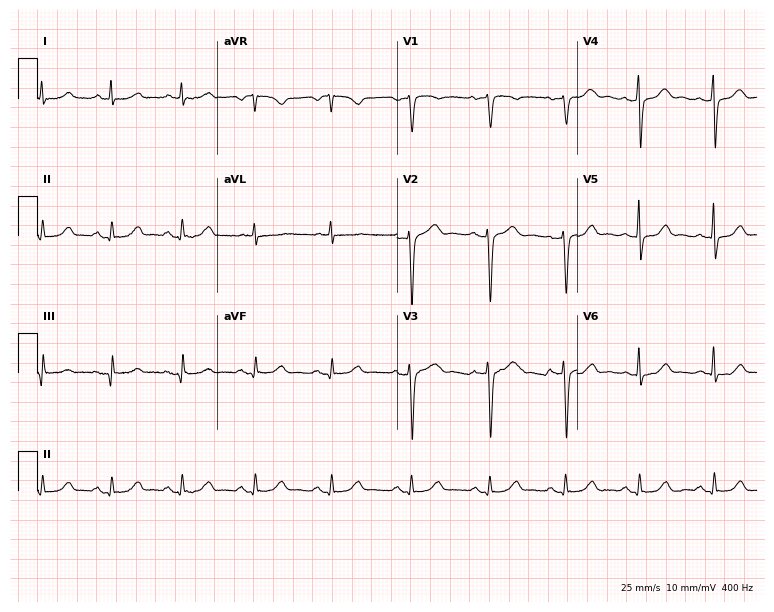
12-lead ECG from a female, 50 years old. Labelled as a normal ECG.